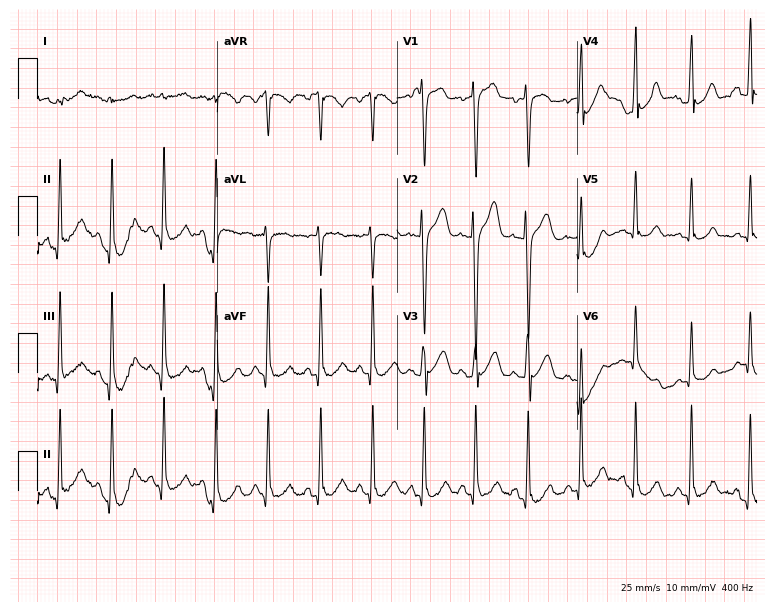
Standard 12-lead ECG recorded from a male, 17 years old (7.3-second recording at 400 Hz). The tracing shows sinus tachycardia (a sinus rate of 100 beats per minute or more).